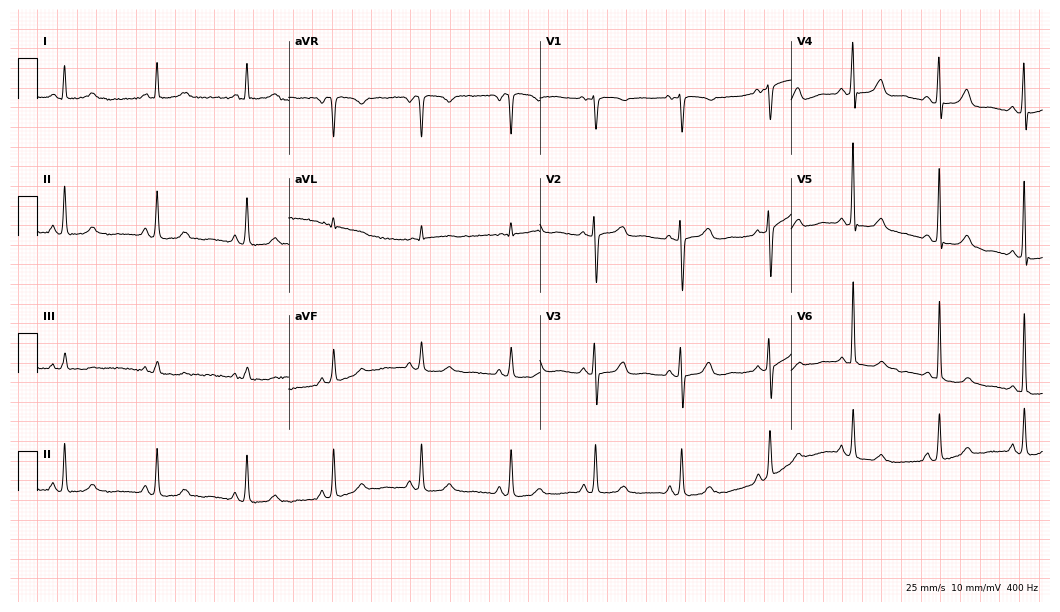
Electrocardiogram (10.2-second recording at 400 Hz), a 51-year-old female. Overall reading on record: normal ECG.